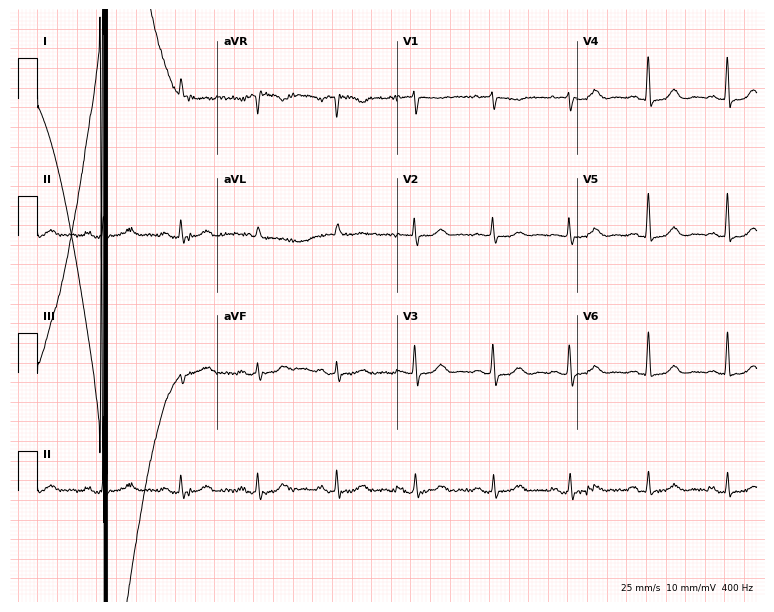
ECG (7.3-second recording at 400 Hz) — a female, 80 years old. Labelled as a normal ECG.